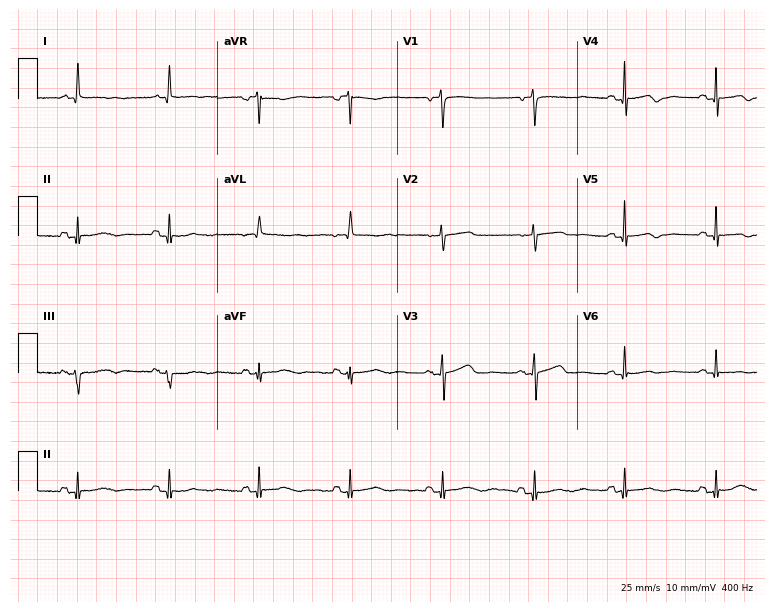
Standard 12-lead ECG recorded from an 83-year-old female patient (7.3-second recording at 400 Hz). None of these six findings is recorded: first-degree AV block, right bundle branch block (RBBB), left bundle branch block (LBBB), sinus bradycardia, atrial fibrillation (AF), sinus tachycardia. Only these six findings were labelled.